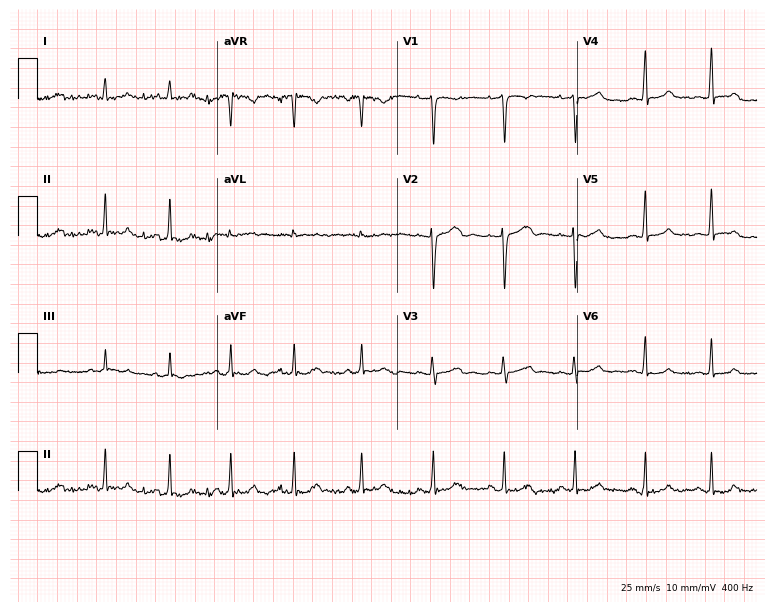
Resting 12-lead electrocardiogram (7.3-second recording at 400 Hz). Patient: a 19-year-old woman. Read as a normal ECG.